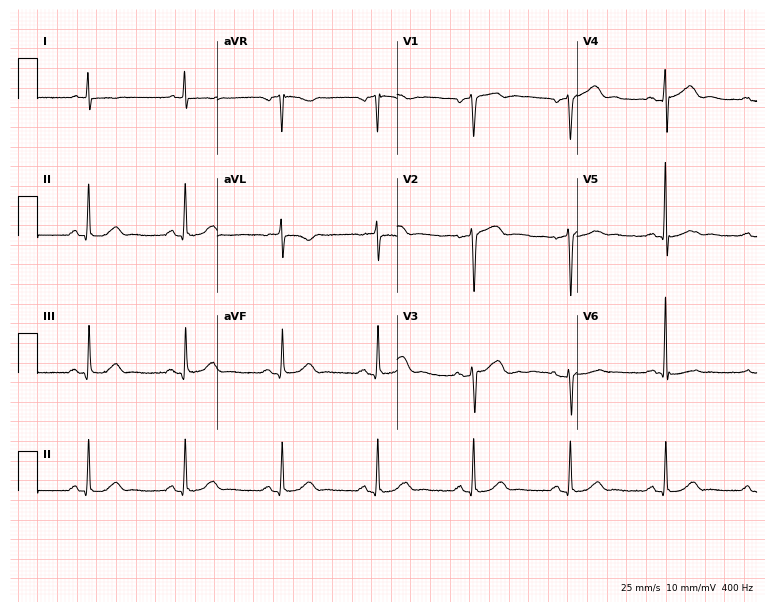
12-lead ECG (7.3-second recording at 400 Hz) from a male, 80 years old. Screened for six findings — first-degree AV block, right bundle branch block (RBBB), left bundle branch block (LBBB), sinus bradycardia, atrial fibrillation (AF), sinus tachycardia — none is recorded.